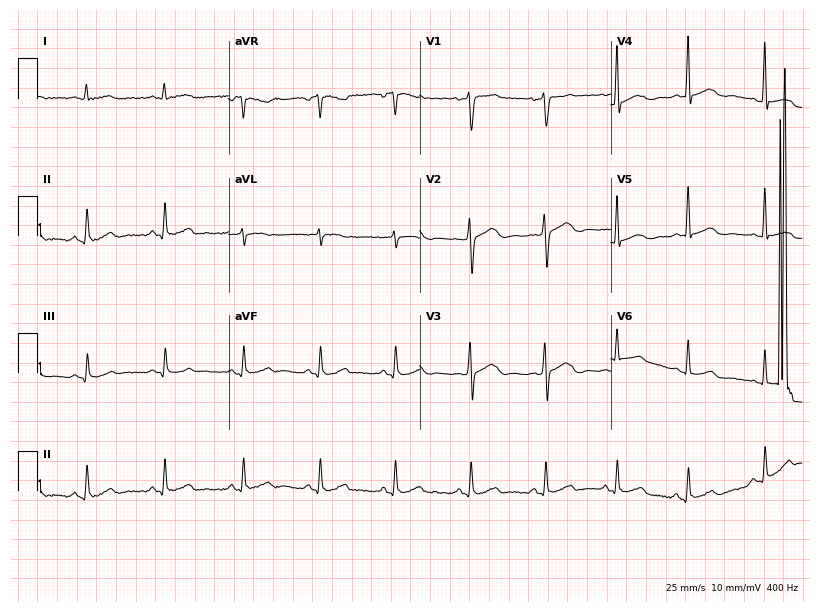
Electrocardiogram, a female patient, 39 years old. Of the six screened findings (first-degree AV block, right bundle branch block, left bundle branch block, sinus bradycardia, atrial fibrillation, sinus tachycardia), none is recorded.